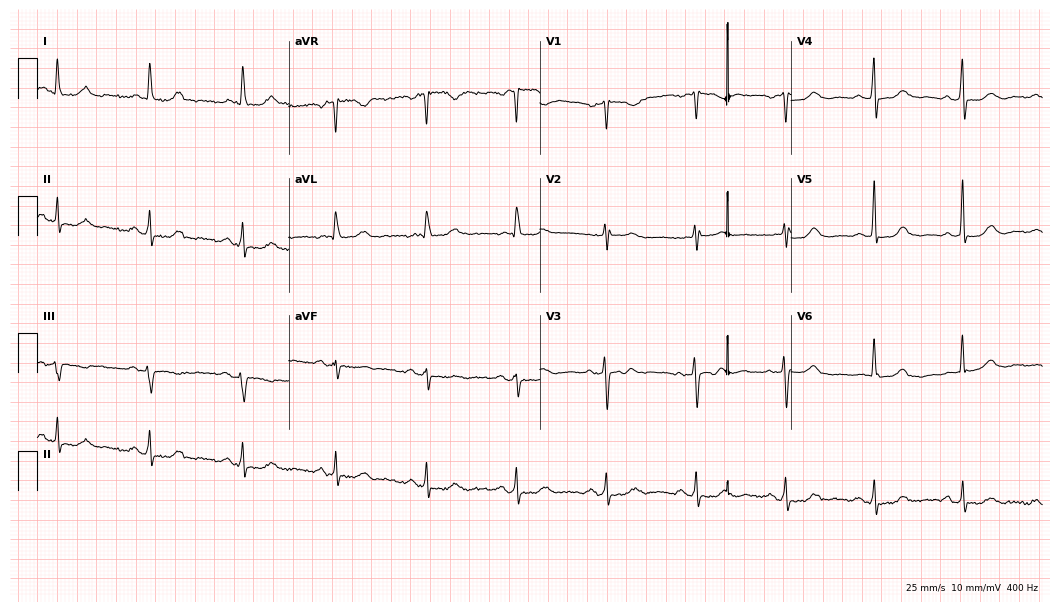
12-lead ECG from a 73-year-old female patient. Labelled as a normal ECG.